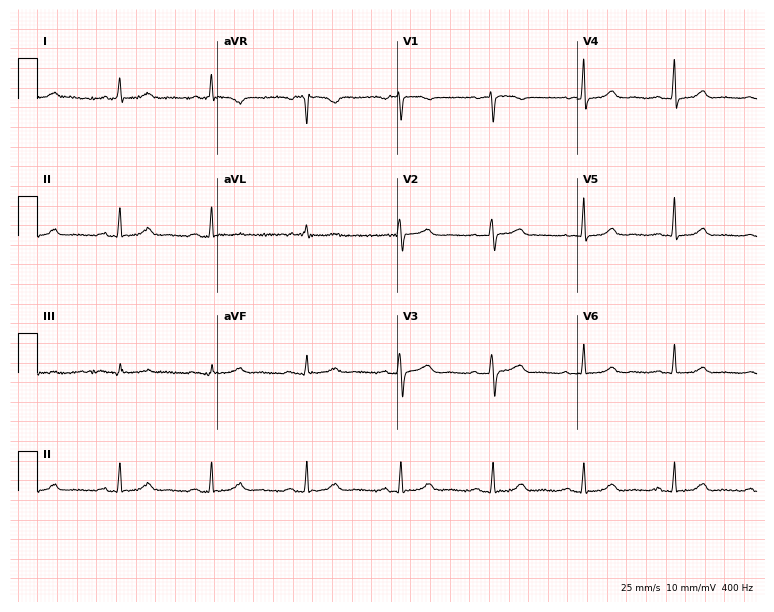
Standard 12-lead ECG recorded from a female patient, 73 years old. None of these six findings is recorded: first-degree AV block, right bundle branch block, left bundle branch block, sinus bradycardia, atrial fibrillation, sinus tachycardia. Findings outside these six are not listed.